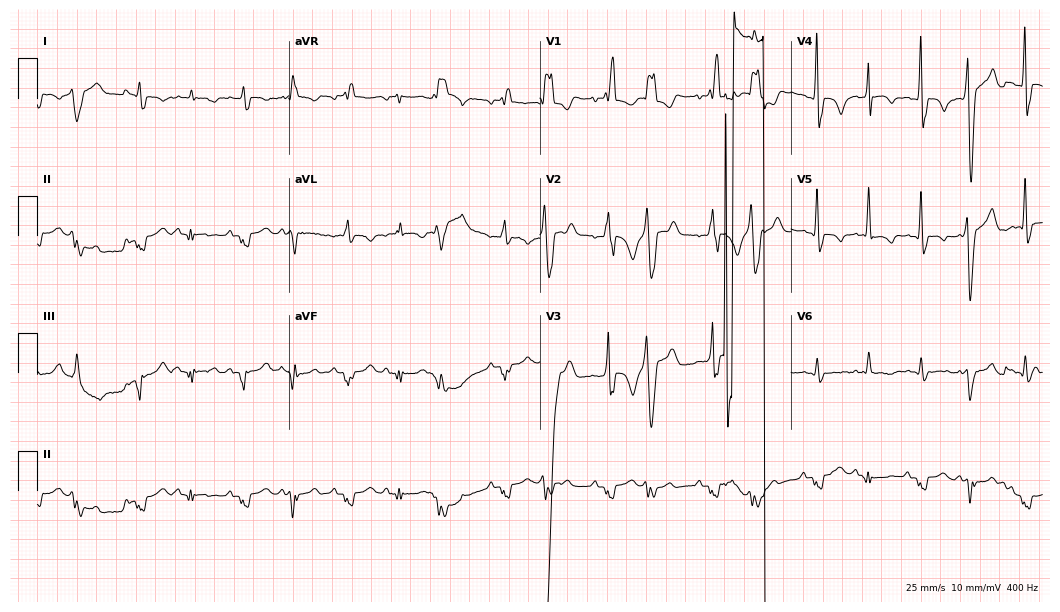
12-lead ECG (10.2-second recording at 400 Hz) from a 69-year-old male. Screened for six findings — first-degree AV block, right bundle branch block, left bundle branch block, sinus bradycardia, atrial fibrillation, sinus tachycardia — none is recorded.